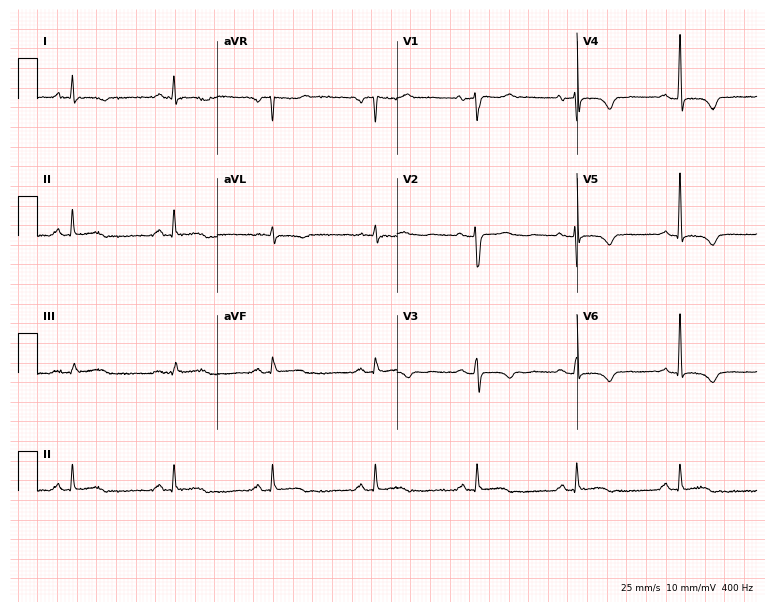
Electrocardiogram, a 63-year-old female. Of the six screened findings (first-degree AV block, right bundle branch block (RBBB), left bundle branch block (LBBB), sinus bradycardia, atrial fibrillation (AF), sinus tachycardia), none is recorded. Findings outside these six are not listed.